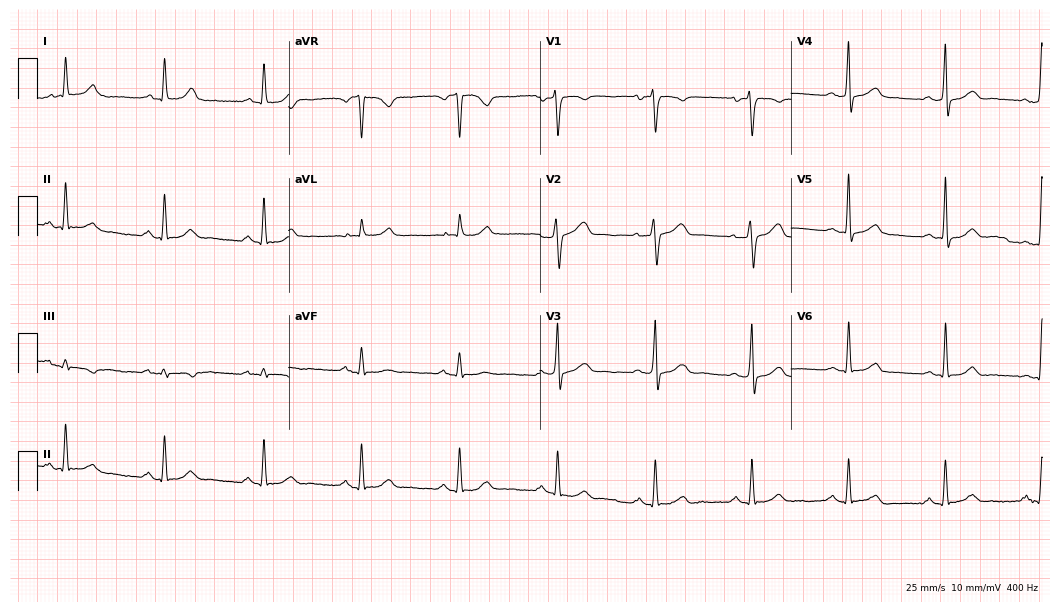
ECG (10.2-second recording at 400 Hz) — a male, 54 years old. Labelled as a normal ECG.